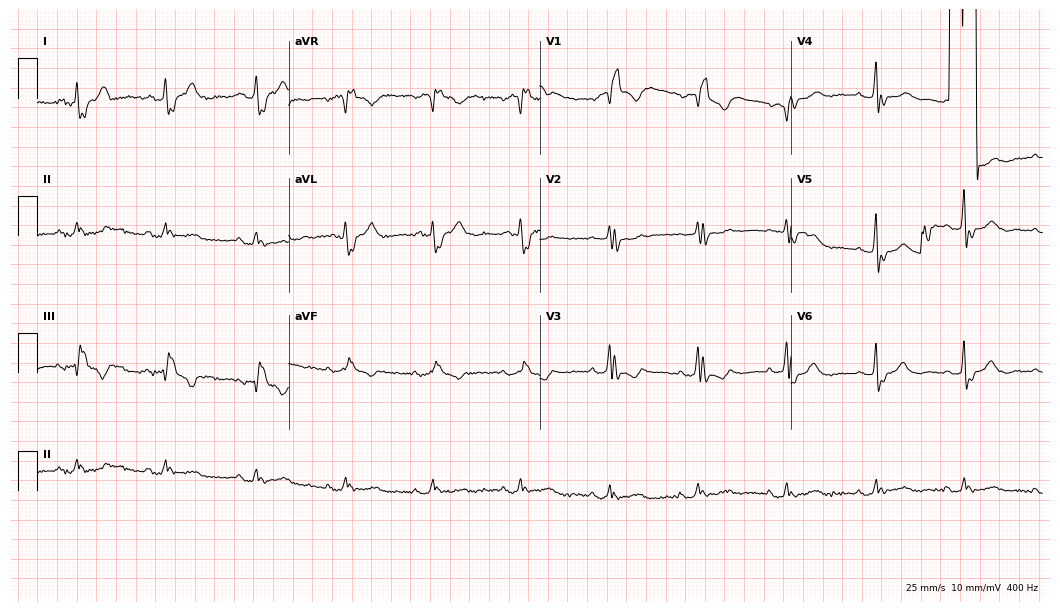
ECG (10.2-second recording at 400 Hz) — an 85-year-old female. Screened for six findings — first-degree AV block, right bundle branch block, left bundle branch block, sinus bradycardia, atrial fibrillation, sinus tachycardia — none is recorded. Only these six findings were labelled.